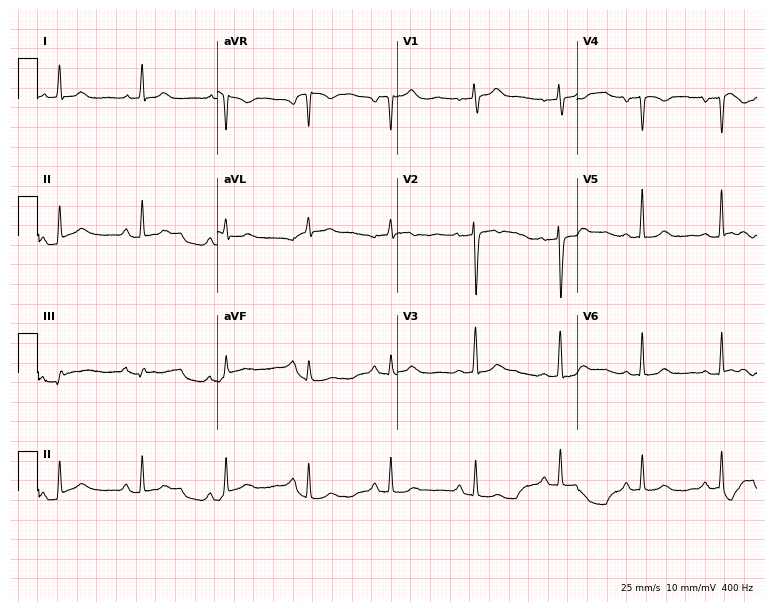
Electrocardiogram (7.3-second recording at 400 Hz), a 37-year-old woman. Of the six screened findings (first-degree AV block, right bundle branch block, left bundle branch block, sinus bradycardia, atrial fibrillation, sinus tachycardia), none is recorded. Only these six findings were labelled.